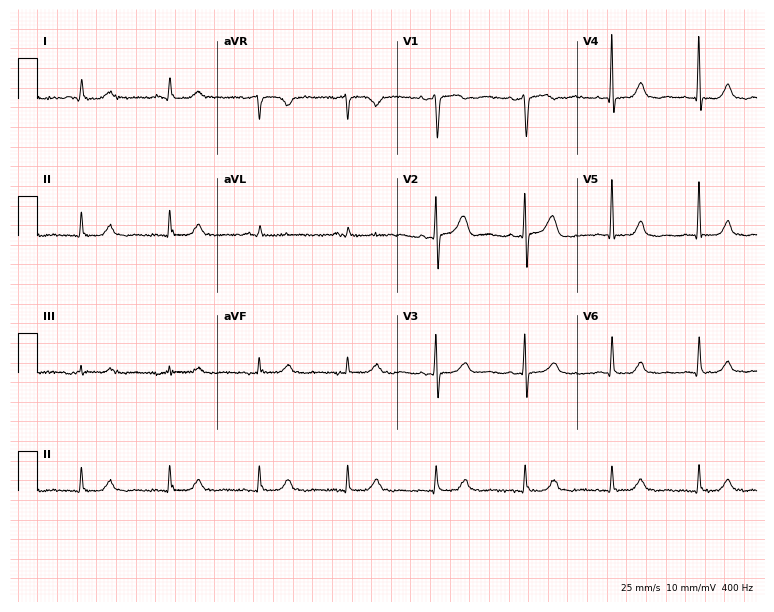
Standard 12-lead ECG recorded from a 63-year-old woman. Read as a normal ECG.